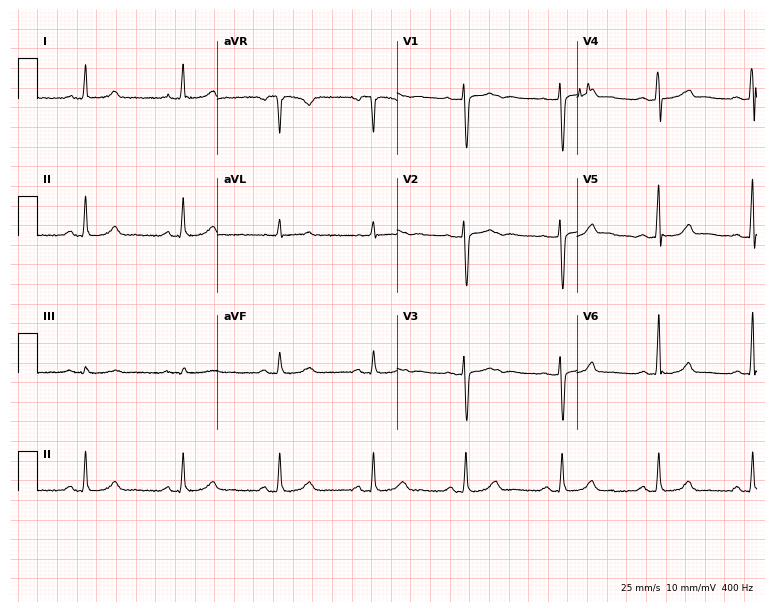
12-lead ECG from a female, 47 years old. Recorded interpretation: within normal limits.